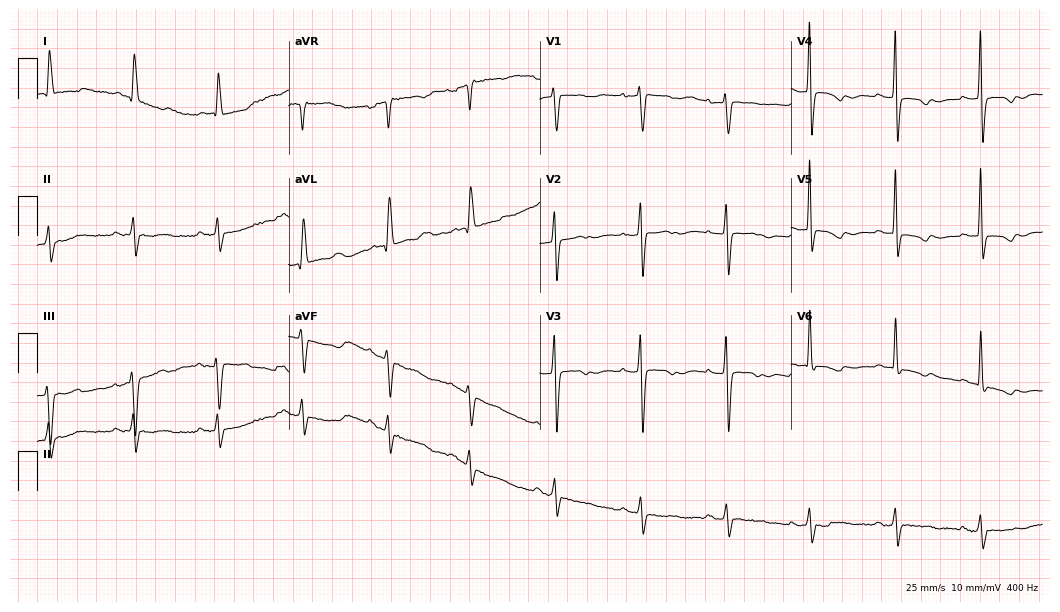
12-lead ECG from a woman, 78 years old. Screened for six findings — first-degree AV block, right bundle branch block, left bundle branch block, sinus bradycardia, atrial fibrillation, sinus tachycardia — none is recorded.